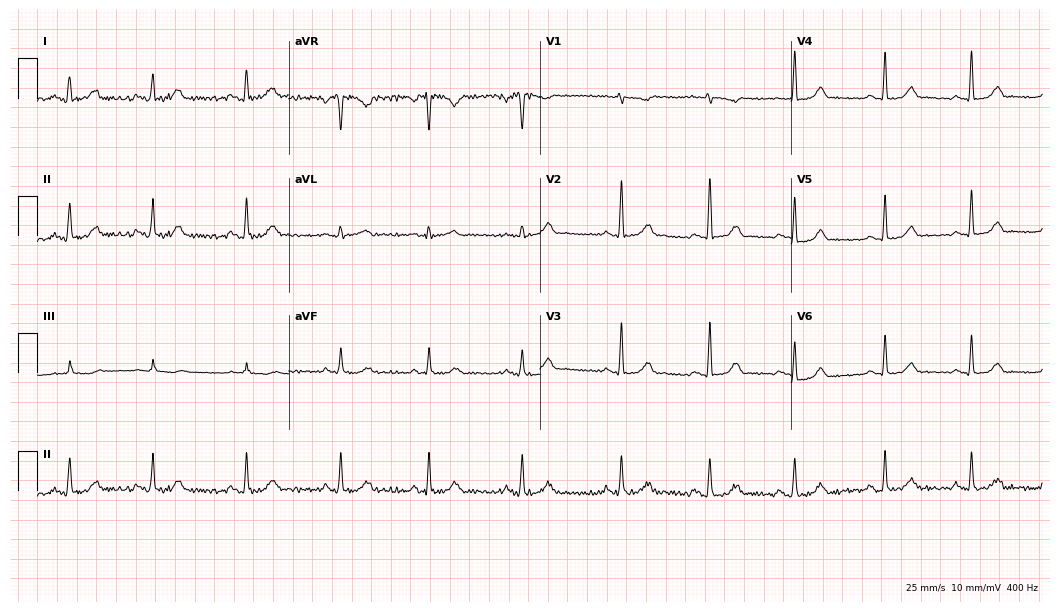
Electrocardiogram (10.2-second recording at 400 Hz), a woman, 32 years old. Of the six screened findings (first-degree AV block, right bundle branch block, left bundle branch block, sinus bradycardia, atrial fibrillation, sinus tachycardia), none is recorded.